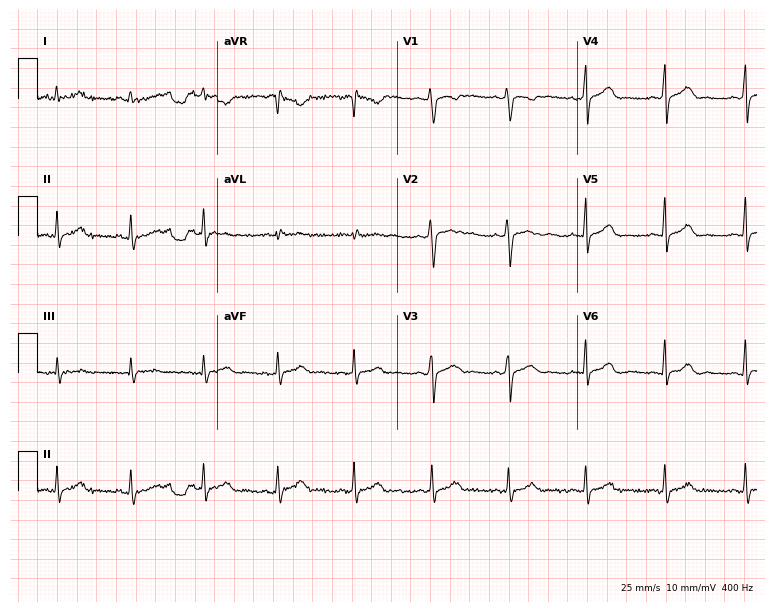
12-lead ECG from a 27-year-old male patient (7.3-second recording at 400 Hz). No first-degree AV block, right bundle branch block, left bundle branch block, sinus bradycardia, atrial fibrillation or sinus tachycardia recorded for this tracing. Other findings, if any, are not listed.